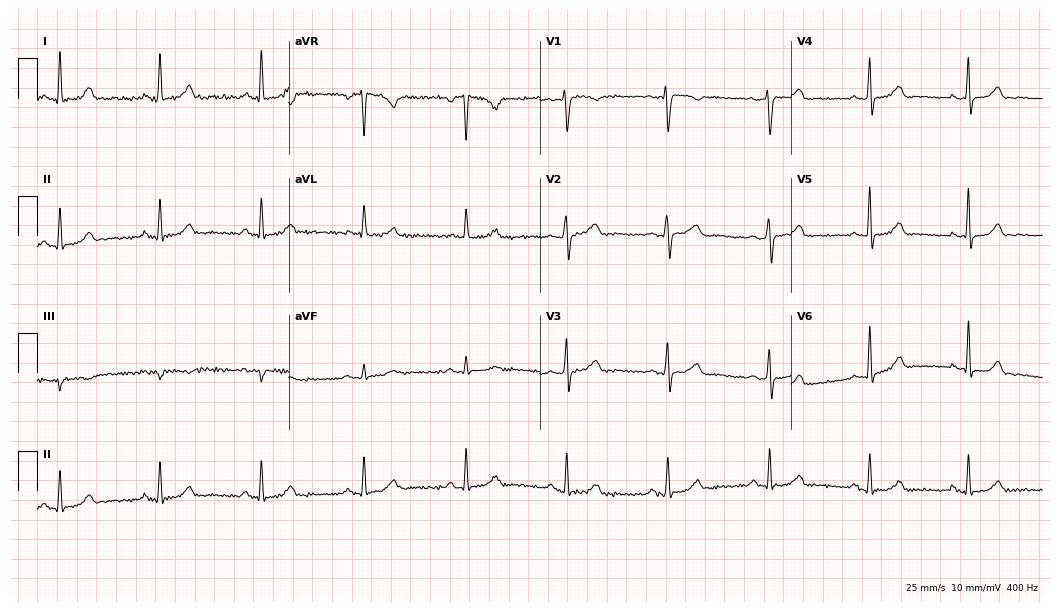
Standard 12-lead ECG recorded from a 47-year-old female. Read as a normal ECG.